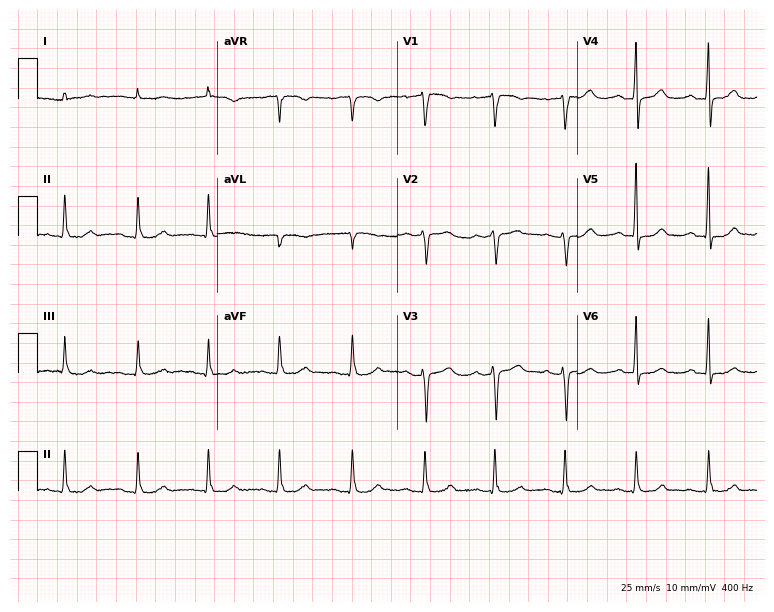
12-lead ECG from a female patient, 49 years old. Screened for six findings — first-degree AV block, right bundle branch block, left bundle branch block, sinus bradycardia, atrial fibrillation, sinus tachycardia — none is recorded.